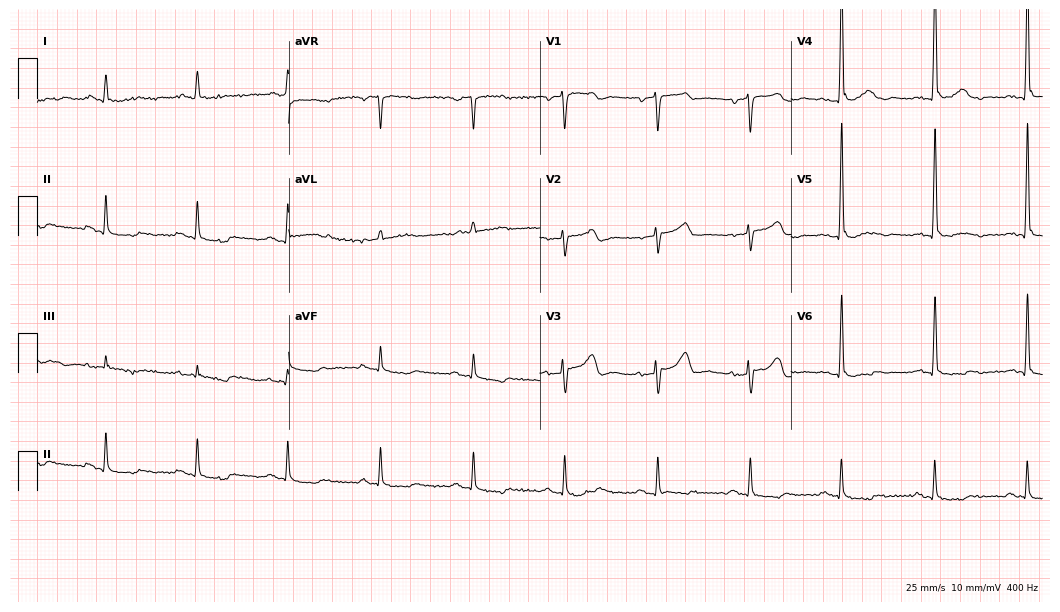
Standard 12-lead ECG recorded from a male, 71 years old (10.2-second recording at 400 Hz). None of these six findings is recorded: first-degree AV block, right bundle branch block (RBBB), left bundle branch block (LBBB), sinus bradycardia, atrial fibrillation (AF), sinus tachycardia. Findings outside these six are not listed.